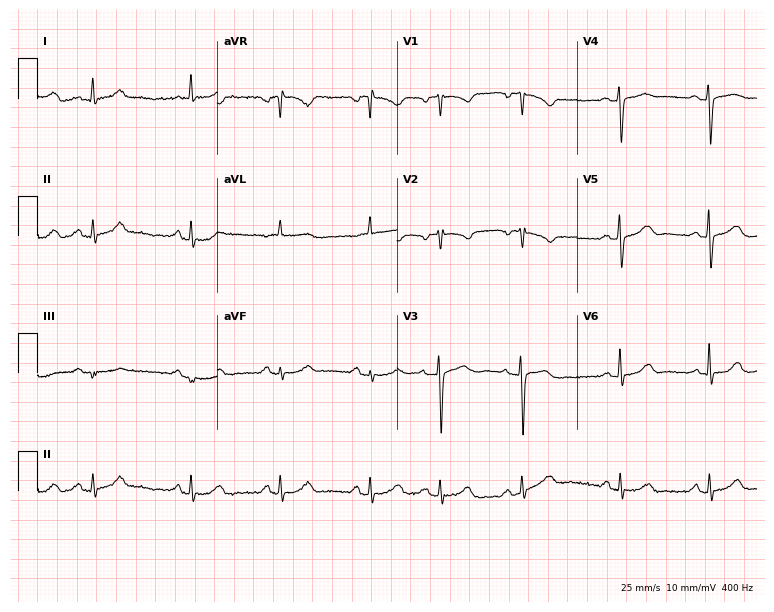
12-lead ECG from a female patient, 54 years old. Recorded interpretation: within normal limits.